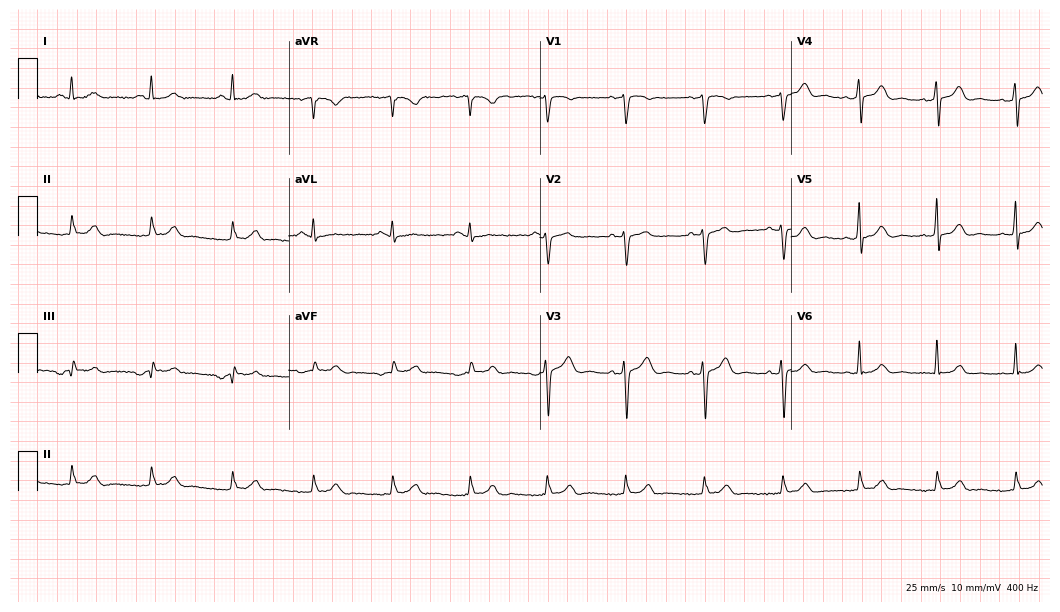
Standard 12-lead ECG recorded from a man, 64 years old (10.2-second recording at 400 Hz). Read as a normal ECG.